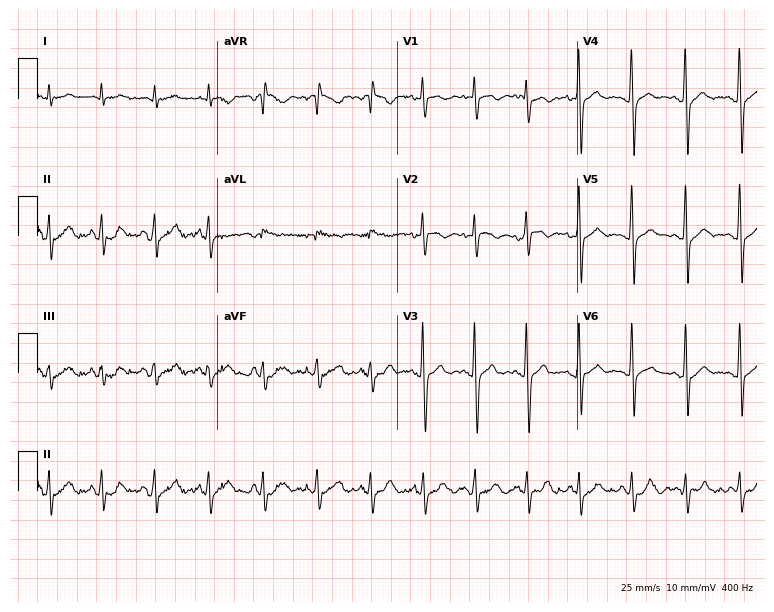
12-lead ECG from a 22-year-old woman. Findings include sinus tachycardia (a sinus rate of 100 beats per minute or more).